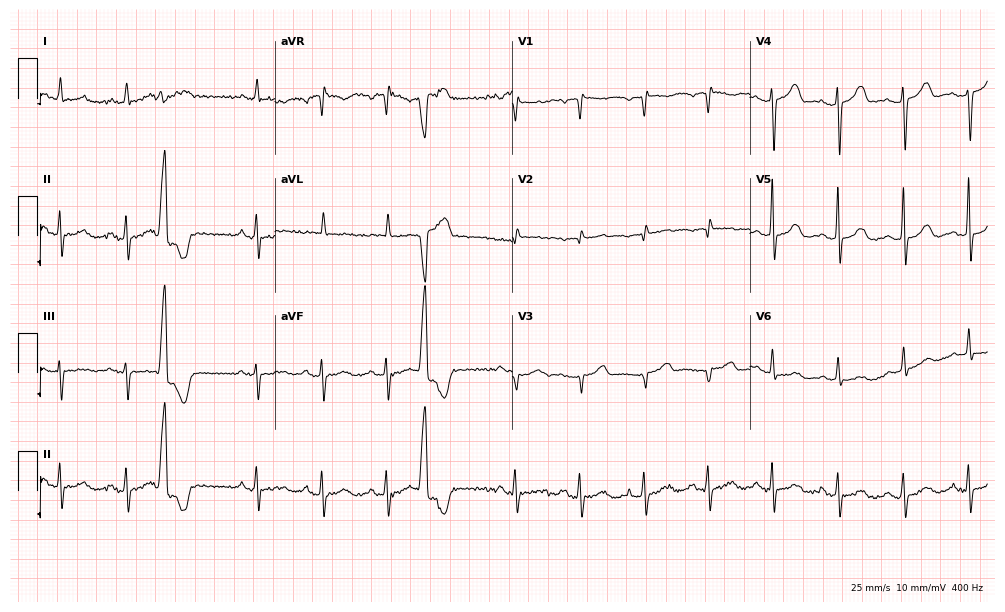
Standard 12-lead ECG recorded from an 82-year-old female patient (9.7-second recording at 400 Hz). None of these six findings is recorded: first-degree AV block, right bundle branch block, left bundle branch block, sinus bradycardia, atrial fibrillation, sinus tachycardia. Only these six findings were labelled.